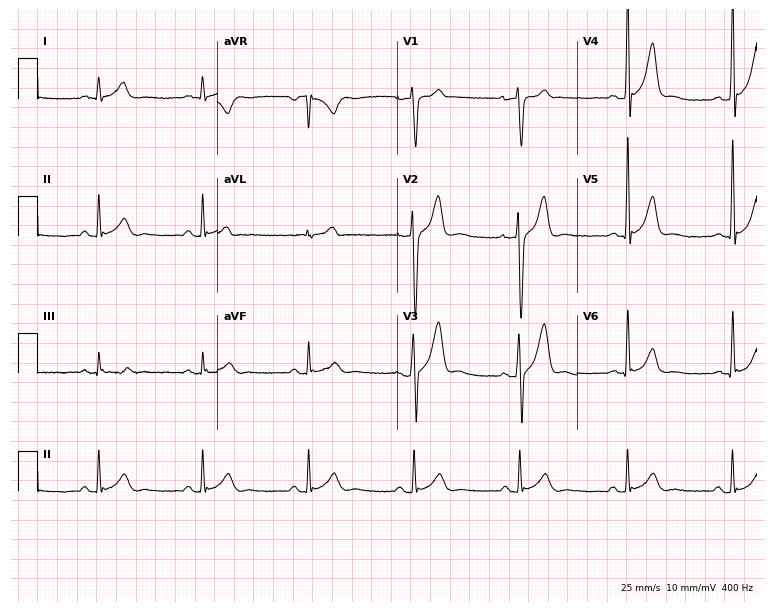
Electrocardiogram (7.3-second recording at 400 Hz), a man, 40 years old. Overall reading on record: normal ECG.